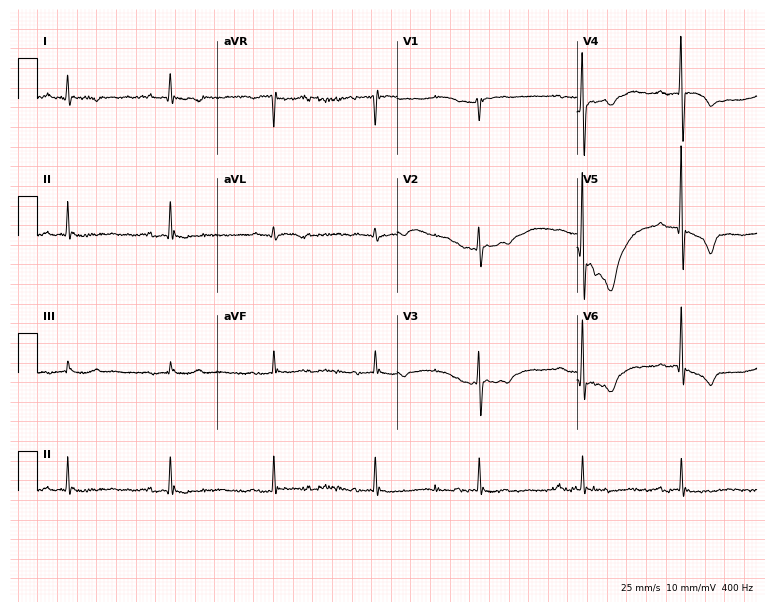
12-lead ECG (7.3-second recording at 400 Hz) from a 78-year-old male patient. Screened for six findings — first-degree AV block, right bundle branch block (RBBB), left bundle branch block (LBBB), sinus bradycardia, atrial fibrillation (AF), sinus tachycardia — none is recorded.